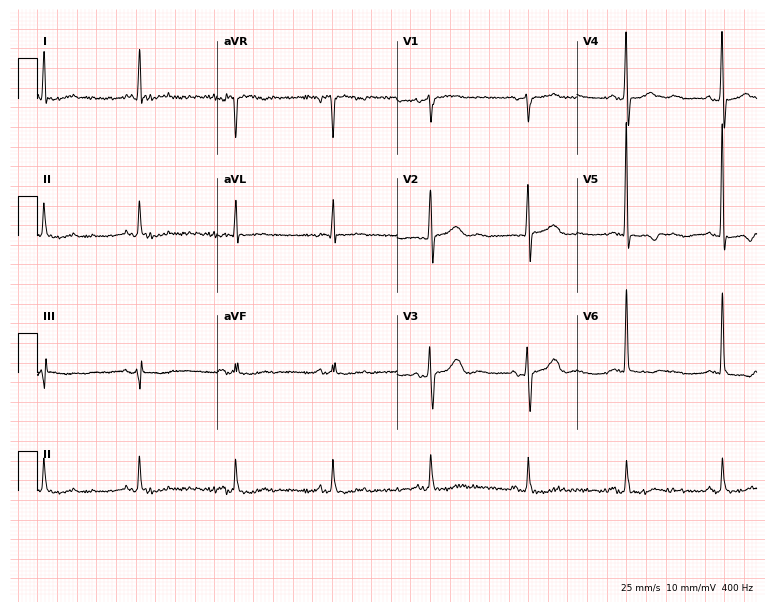
12-lead ECG from a female patient, 80 years old. Screened for six findings — first-degree AV block, right bundle branch block, left bundle branch block, sinus bradycardia, atrial fibrillation, sinus tachycardia — none is recorded.